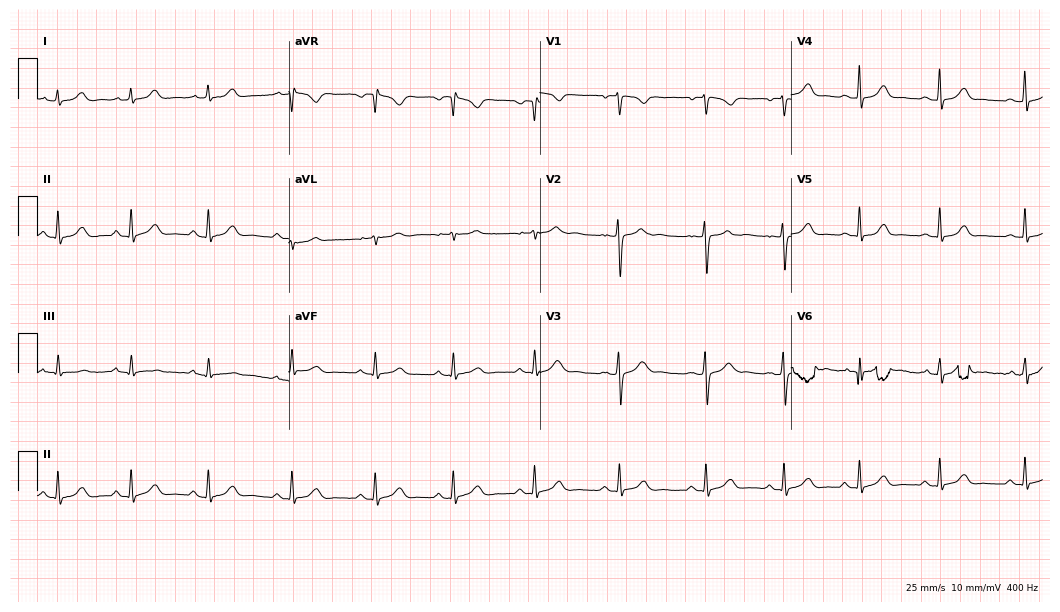
Electrocardiogram, a female, 25 years old. Overall reading on record: normal ECG.